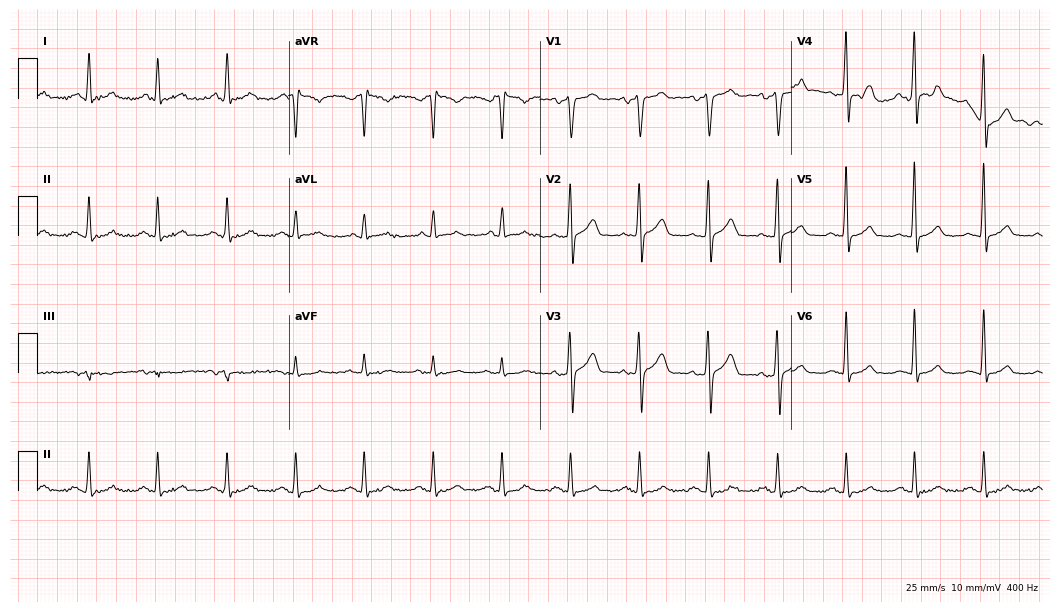
12-lead ECG from a 58-year-old man. Labelled as a normal ECG.